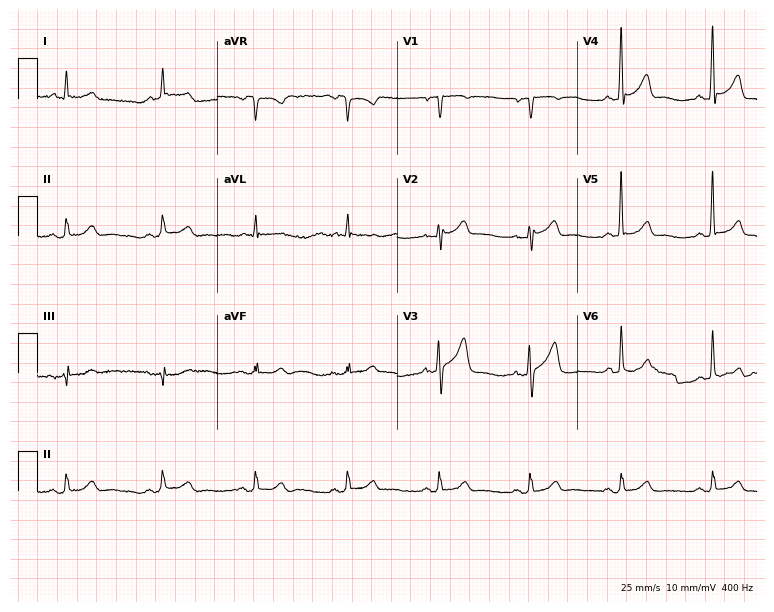
Electrocardiogram, a male patient, 67 years old. Overall reading on record: normal ECG.